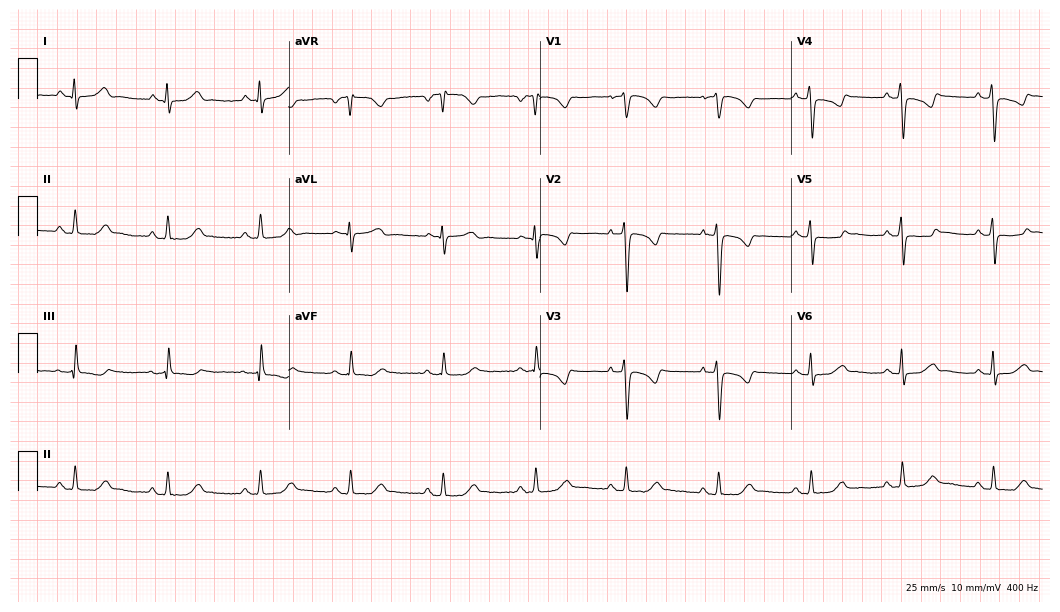
Electrocardiogram (10.2-second recording at 400 Hz), a 55-year-old female patient. Of the six screened findings (first-degree AV block, right bundle branch block, left bundle branch block, sinus bradycardia, atrial fibrillation, sinus tachycardia), none is recorded. Only these six findings were labelled.